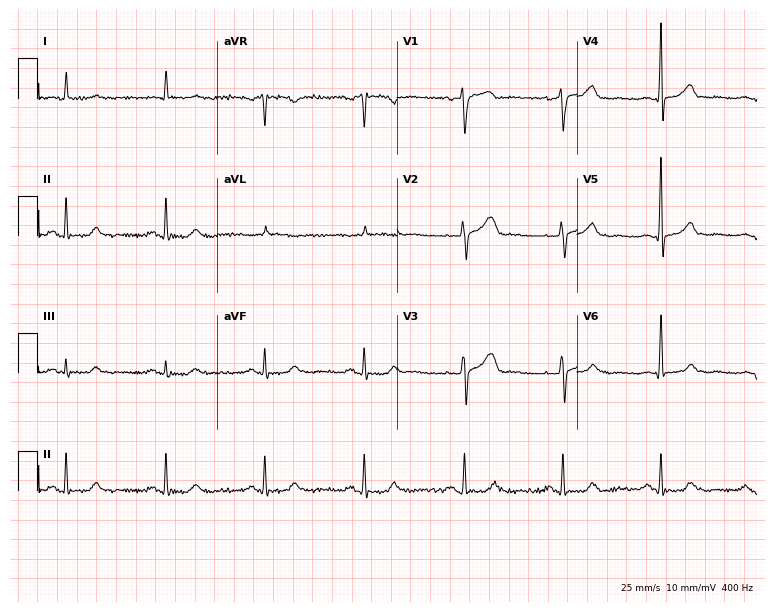
ECG (7.3-second recording at 400 Hz) — a male, 76 years old. Screened for six findings — first-degree AV block, right bundle branch block, left bundle branch block, sinus bradycardia, atrial fibrillation, sinus tachycardia — none is recorded. Only these six findings were labelled.